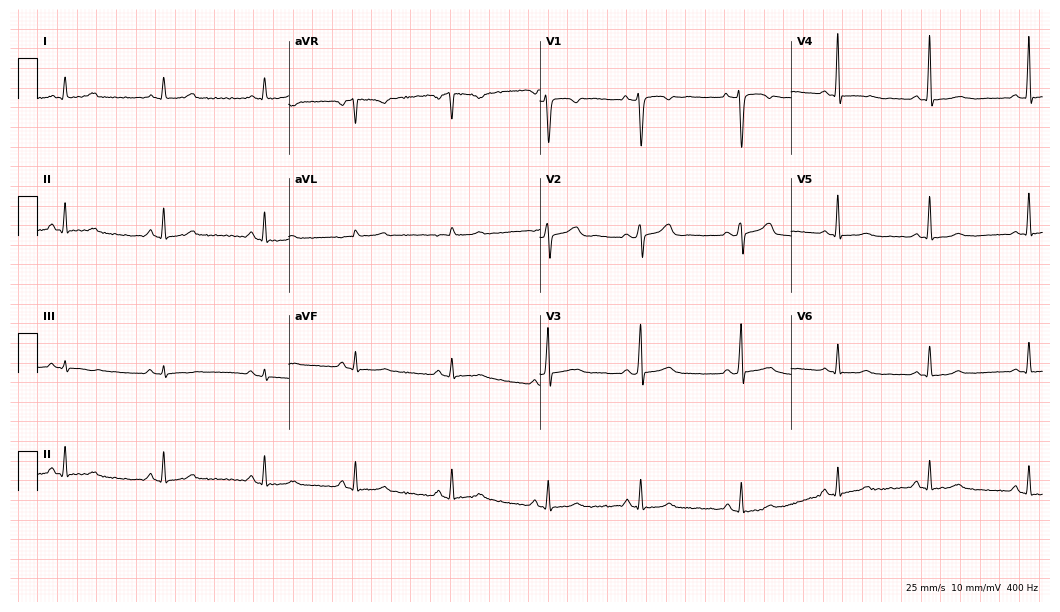
12-lead ECG from a 32-year-old woman (10.2-second recording at 400 Hz). No first-degree AV block, right bundle branch block, left bundle branch block, sinus bradycardia, atrial fibrillation or sinus tachycardia recorded for this tracing. Other findings, if any, are not listed.